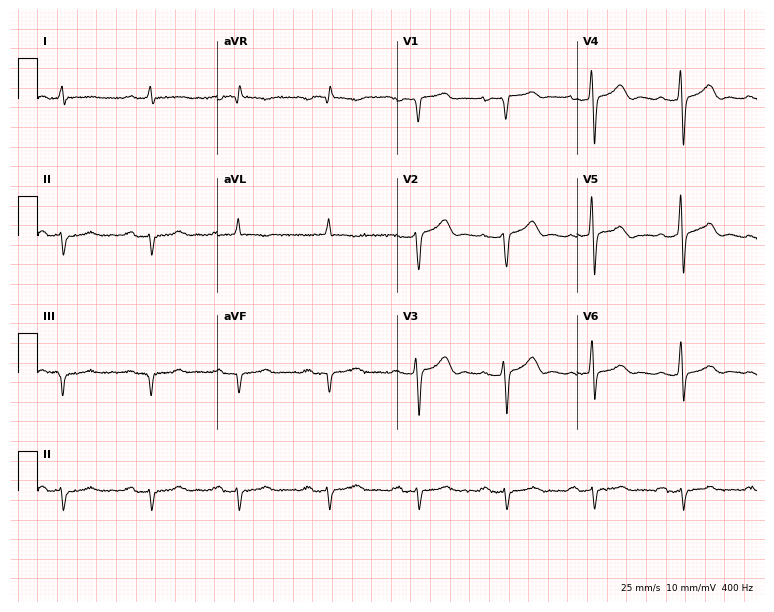
Electrocardiogram (7.3-second recording at 400 Hz), a male patient, 69 years old. Of the six screened findings (first-degree AV block, right bundle branch block, left bundle branch block, sinus bradycardia, atrial fibrillation, sinus tachycardia), none is recorded. Other findings, if any, are not listed.